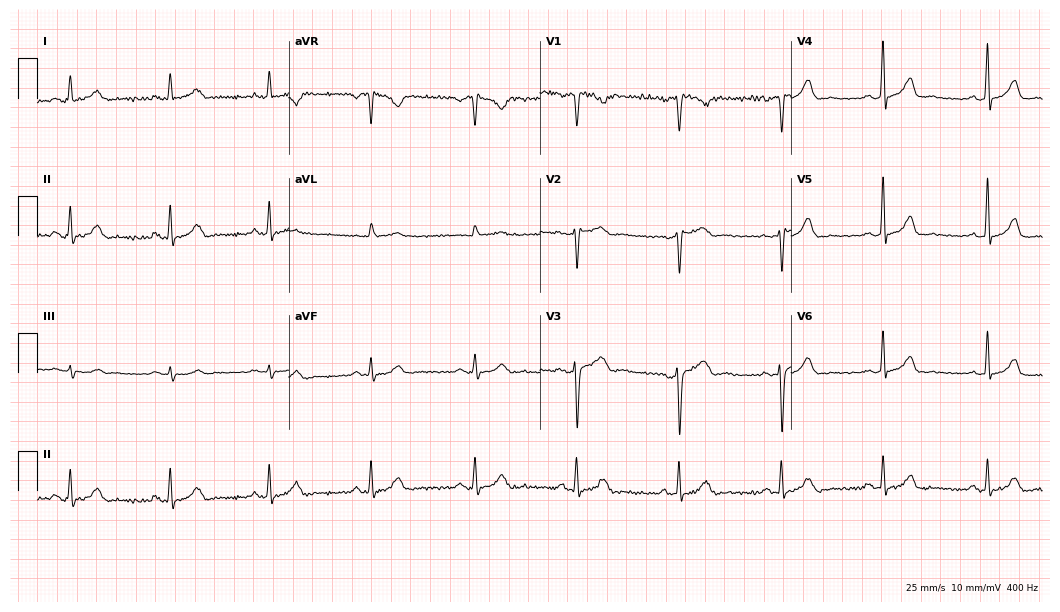
Electrocardiogram, a 42-year-old man. Overall reading on record: normal ECG.